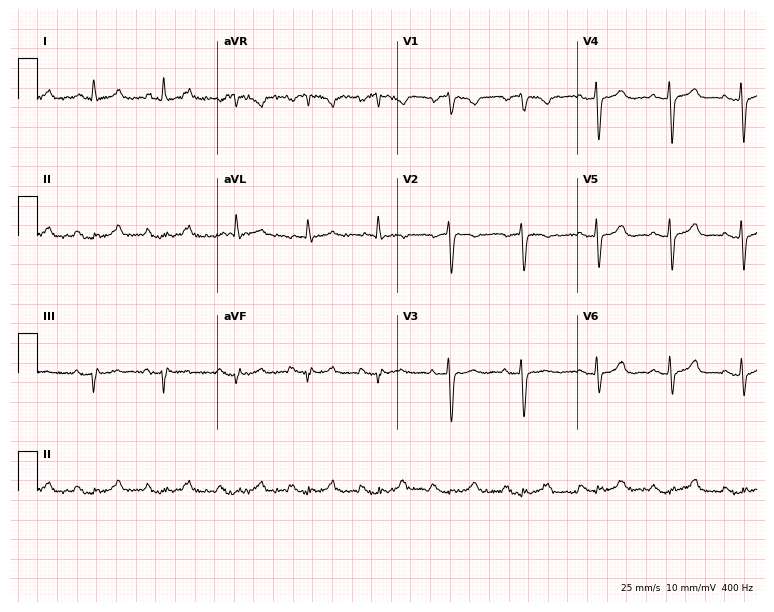
12-lead ECG from a 74-year-old female patient (7.3-second recording at 400 Hz). No first-degree AV block, right bundle branch block (RBBB), left bundle branch block (LBBB), sinus bradycardia, atrial fibrillation (AF) or sinus tachycardia recorded for this tracing.